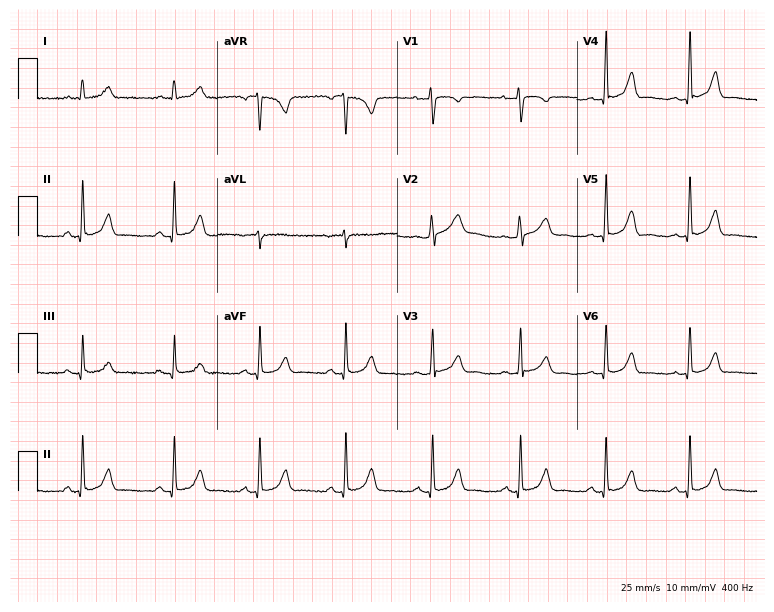
12-lead ECG from a woman, 47 years old. Labelled as a normal ECG.